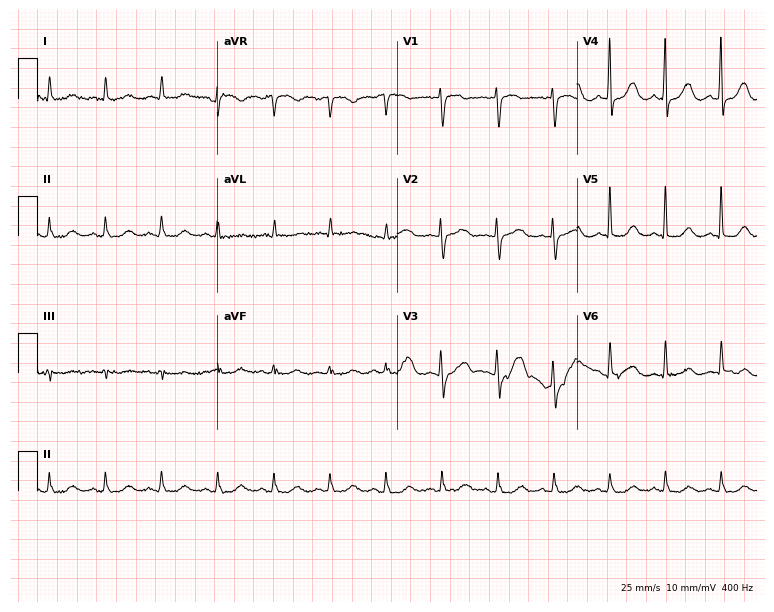
12-lead ECG (7.3-second recording at 400 Hz) from a female patient, 72 years old. Screened for six findings — first-degree AV block, right bundle branch block, left bundle branch block, sinus bradycardia, atrial fibrillation, sinus tachycardia — none is recorded.